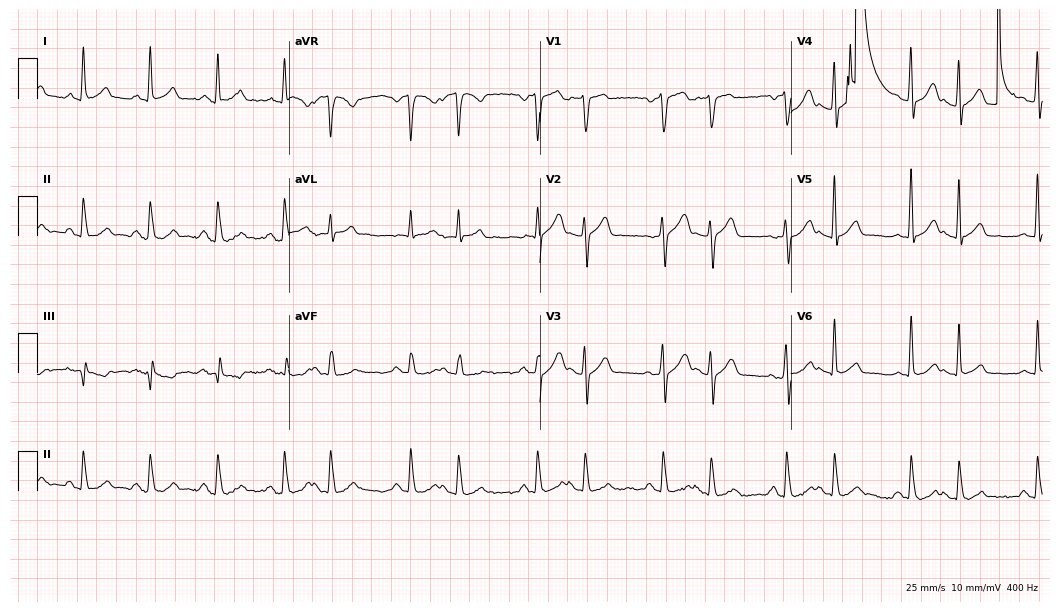
Resting 12-lead electrocardiogram. Patient: a 50-year-old male. None of these six findings is recorded: first-degree AV block, right bundle branch block, left bundle branch block, sinus bradycardia, atrial fibrillation, sinus tachycardia.